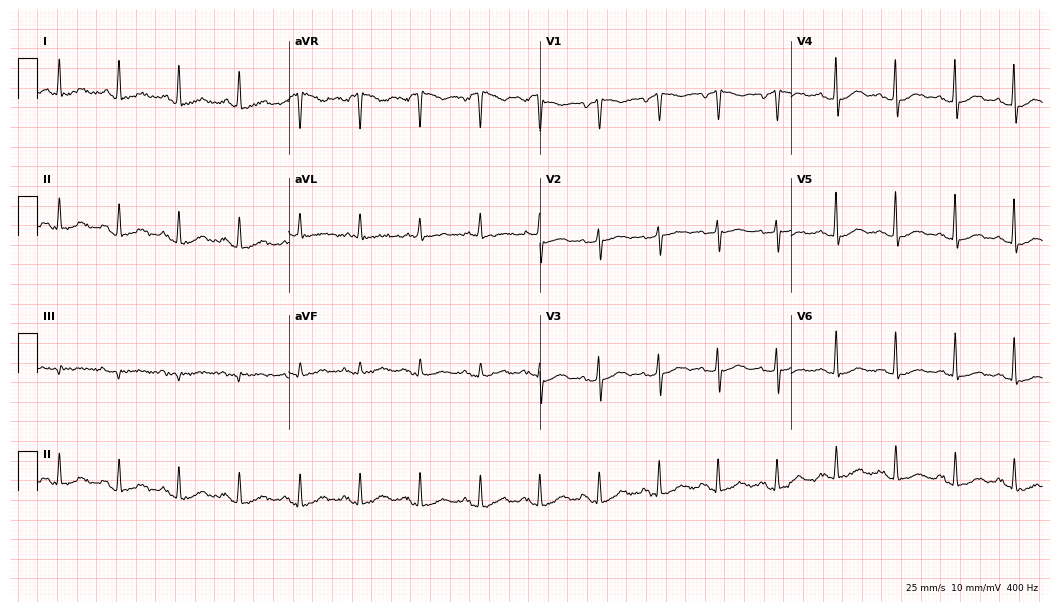
12-lead ECG from a female, 67 years old (10.2-second recording at 400 Hz). Recorded interpretation: within normal limits.